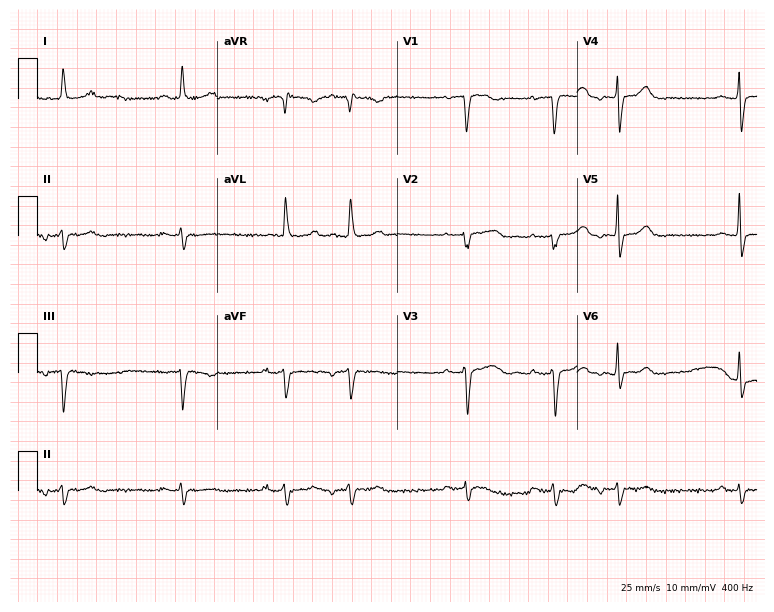
Resting 12-lead electrocardiogram (7.3-second recording at 400 Hz). Patient: an 84-year-old woman. None of these six findings is recorded: first-degree AV block, right bundle branch block, left bundle branch block, sinus bradycardia, atrial fibrillation, sinus tachycardia.